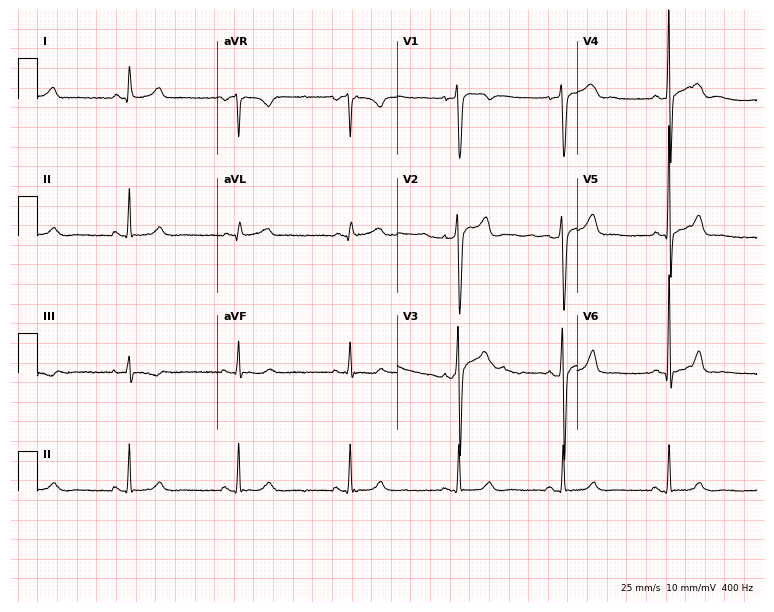
Resting 12-lead electrocardiogram (7.3-second recording at 400 Hz). Patient: a man, 40 years old. Read as a normal ECG.